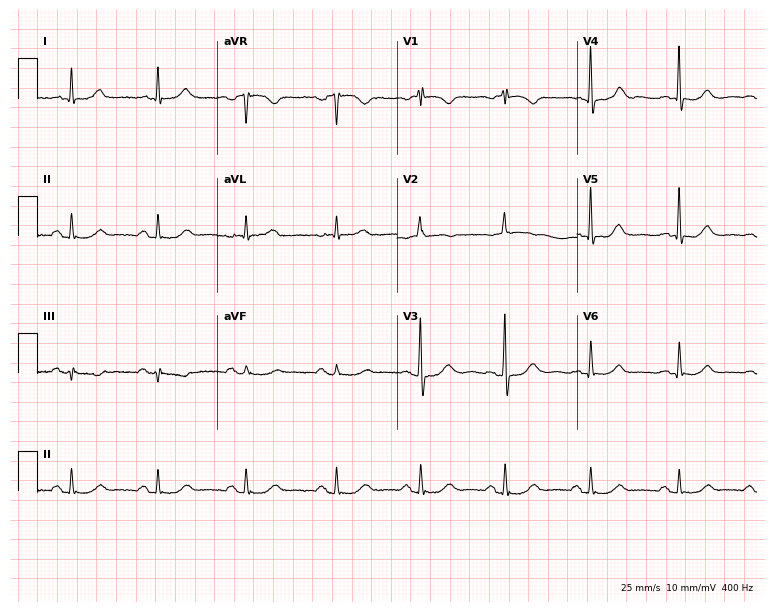
Standard 12-lead ECG recorded from a 78-year-old female (7.3-second recording at 400 Hz). None of these six findings is recorded: first-degree AV block, right bundle branch block, left bundle branch block, sinus bradycardia, atrial fibrillation, sinus tachycardia.